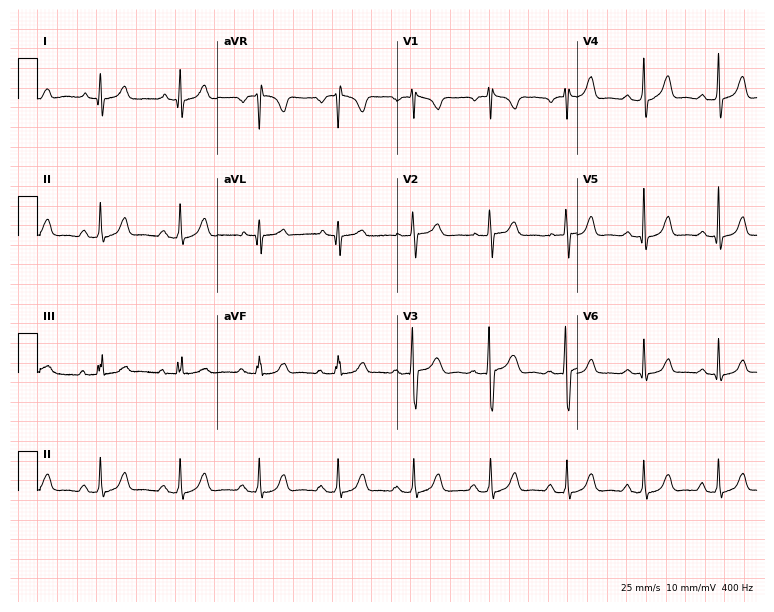
Electrocardiogram, a female, 27 years old. Overall reading on record: normal ECG.